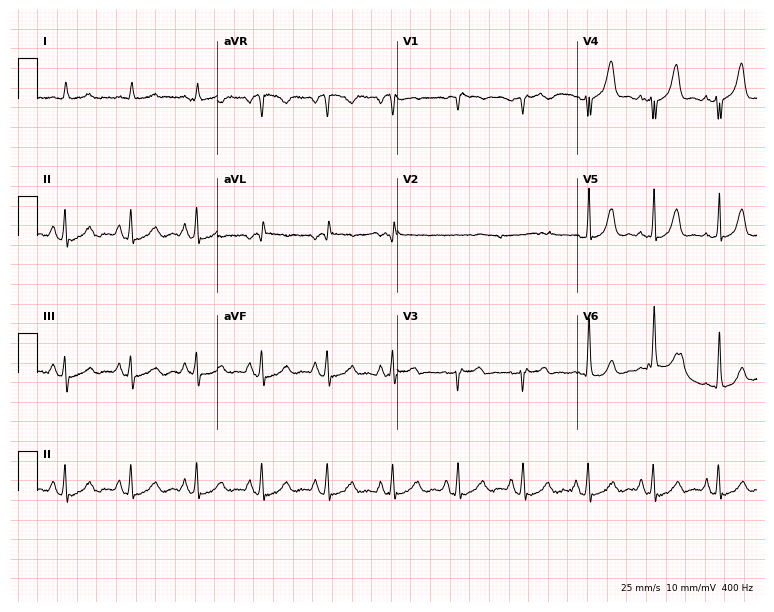
Resting 12-lead electrocardiogram (7.3-second recording at 400 Hz). Patient: an 80-year-old man. None of these six findings is recorded: first-degree AV block, right bundle branch block, left bundle branch block, sinus bradycardia, atrial fibrillation, sinus tachycardia. Findings outside these six are not listed.